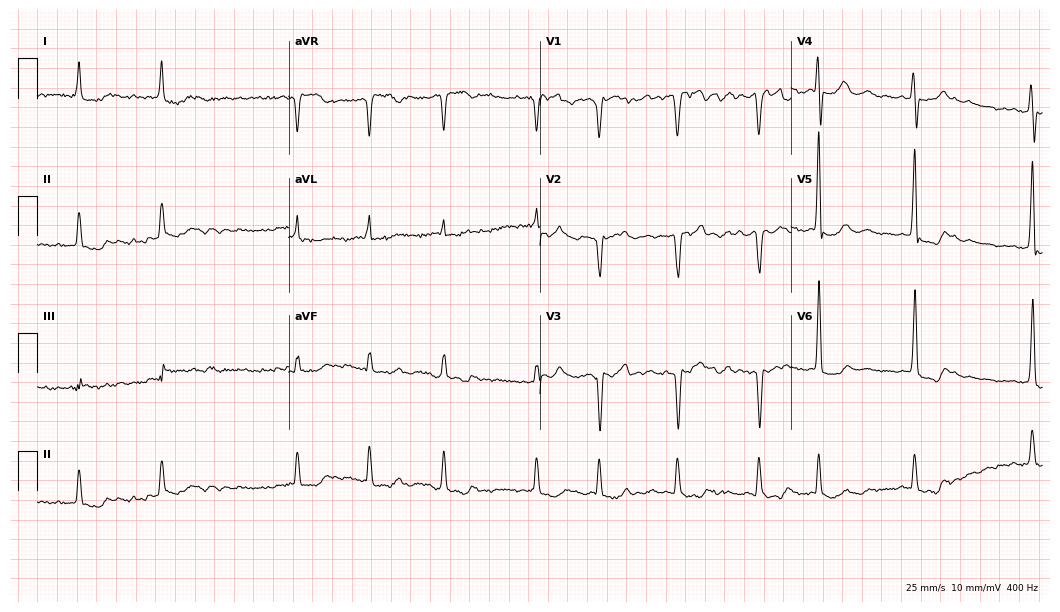
Electrocardiogram (10.2-second recording at 400 Hz), a female patient, 74 years old. Interpretation includes atrial fibrillation (AF).